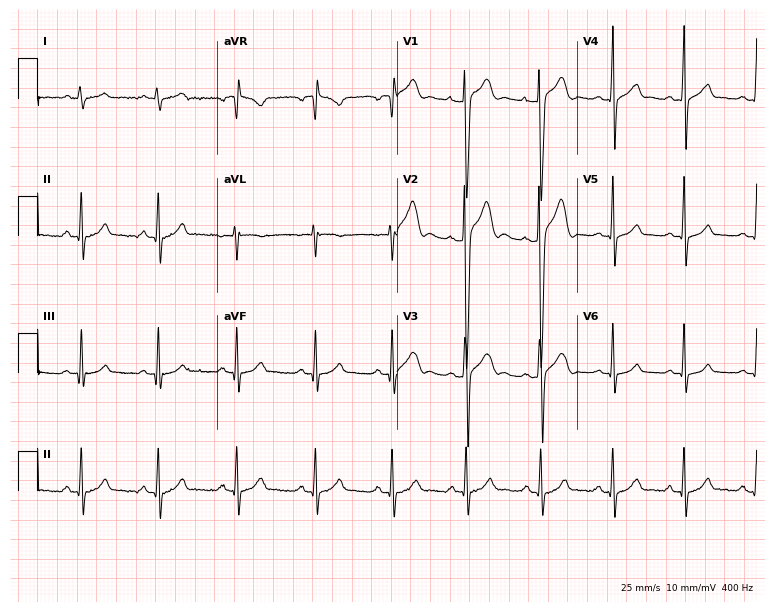
Resting 12-lead electrocardiogram. Patient: a 23-year-old male. None of these six findings is recorded: first-degree AV block, right bundle branch block, left bundle branch block, sinus bradycardia, atrial fibrillation, sinus tachycardia.